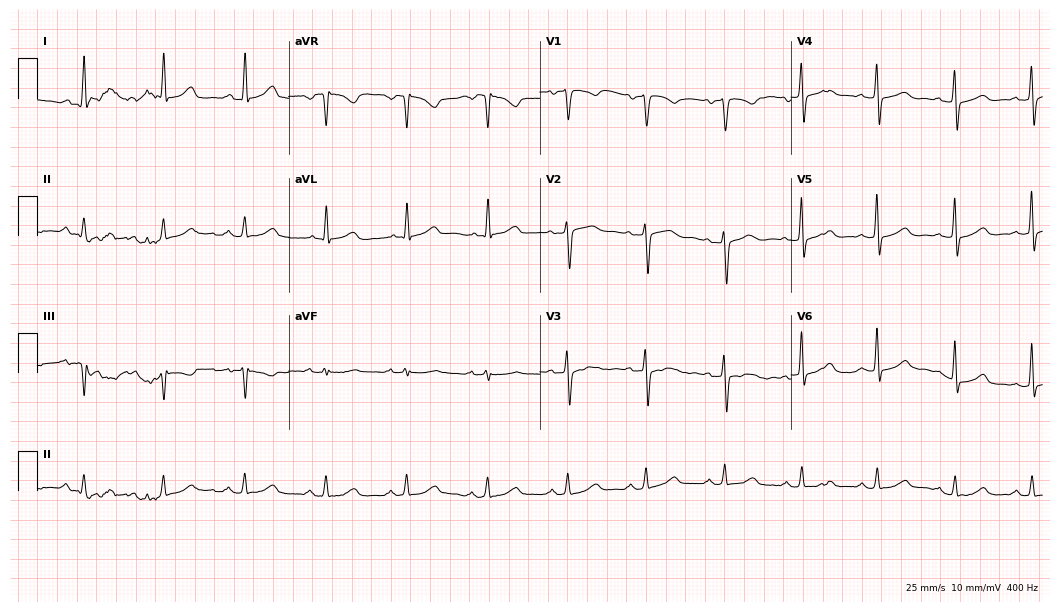
12-lead ECG from a female patient, 64 years old (10.2-second recording at 400 Hz). No first-degree AV block, right bundle branch block (RBBB), left bundle branch block (LBBB), sinus bradycardia, atrial fibrillation (AF) or sinus tachycardia recorded for this tracing. Findings outside these six are not listed.